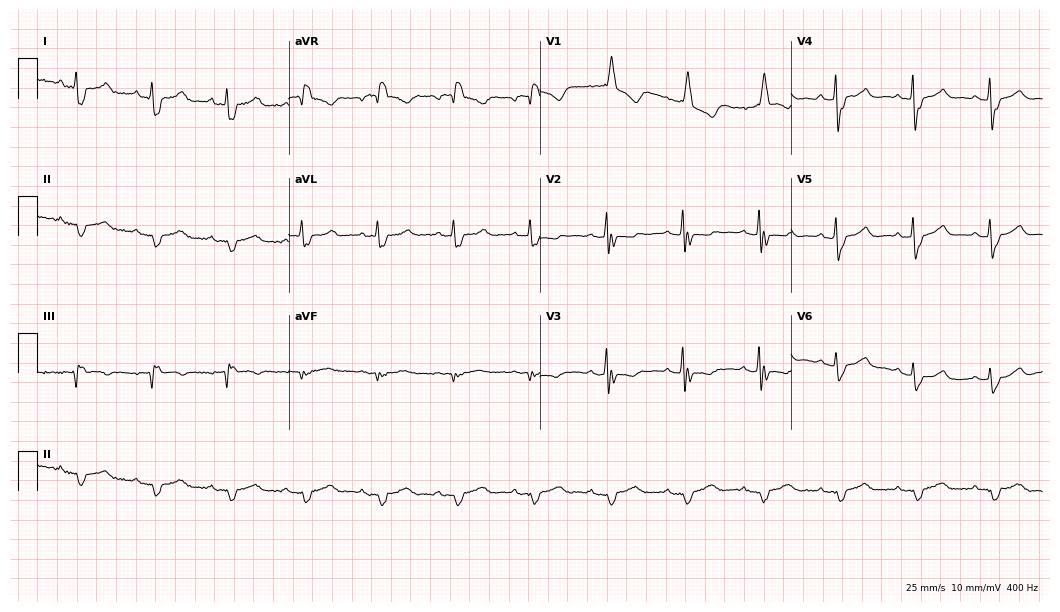
Electrocardiogram (10.2-second recording at 400 Hz), a woman, 73 years old. Interpretation includes right bundle branch block (RBBB).